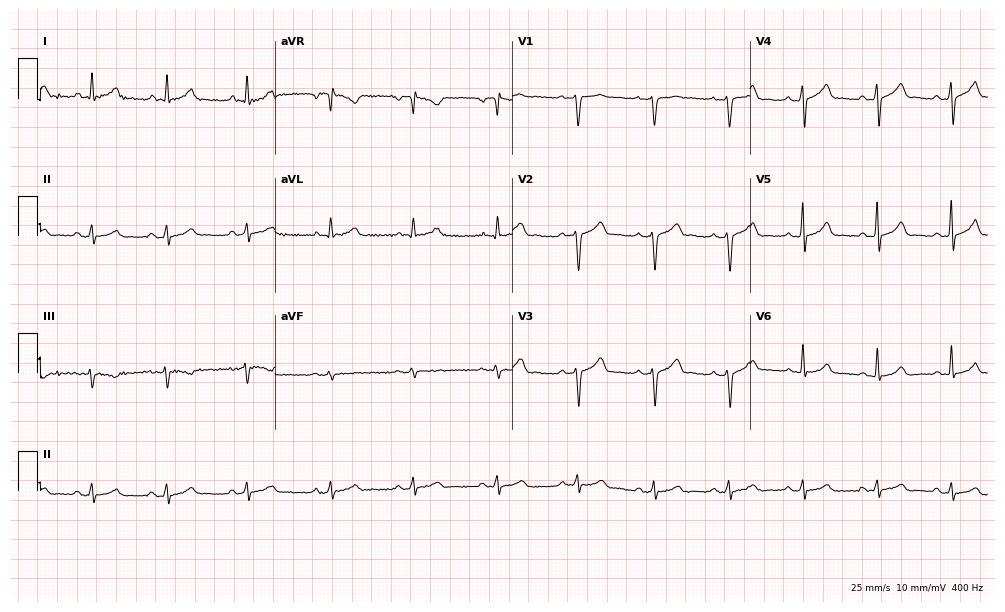
12-lead ECG from a 39-year-old man (9.7-second recording at 400 Hz). No first-degree AV block, right bundle branch block, left bundle branch block, sinus bradycardia, atrial fibrillation or sinus tachycardia recorded for this tracing. Findings outside these six are not listed.